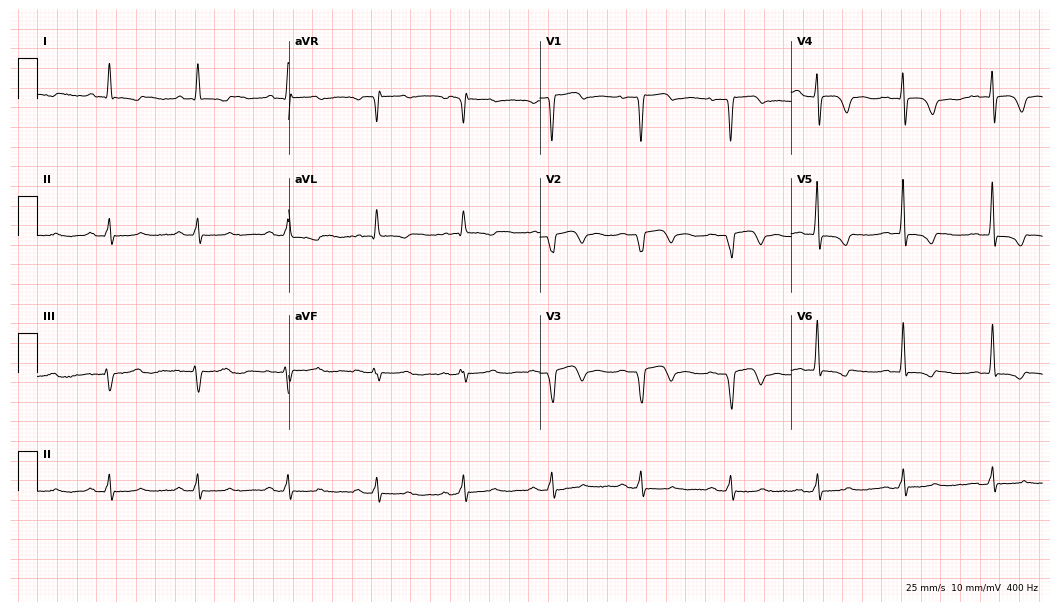
12-lead ECG from a 62-year-old female patient (10.2-second recording at 400 Hz). No first-degree AV block, right bundle branch block, left bundle branch block, sinus bradycardia, atrial fibrillation or sinus tachycardia recorded for this tracing. Only these six findings were labelled.